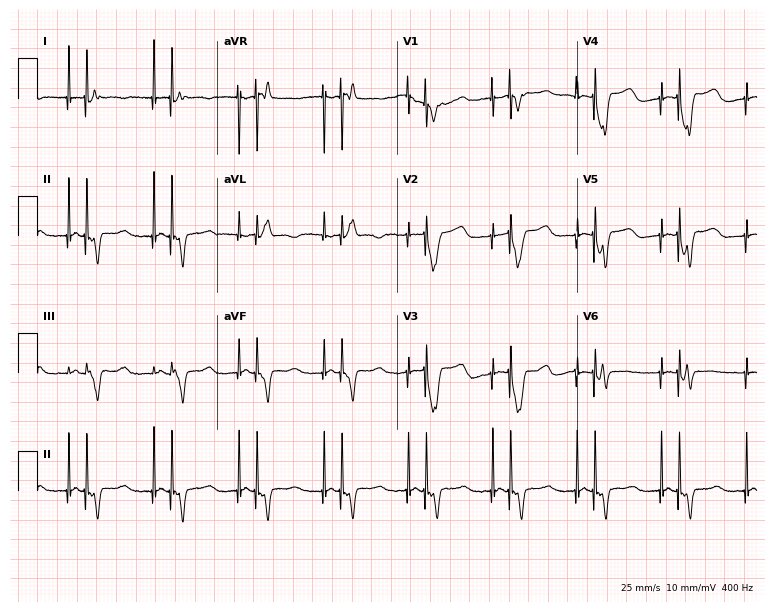
ECG — a 61-year-old female. Screened for six findings — first-degree AV block, right bundle branch block (RBBB), left bundle branch block (LBBB), sinus bradycardia, atrial fibrillation (AF), sinus tachycardia — none is recorded.